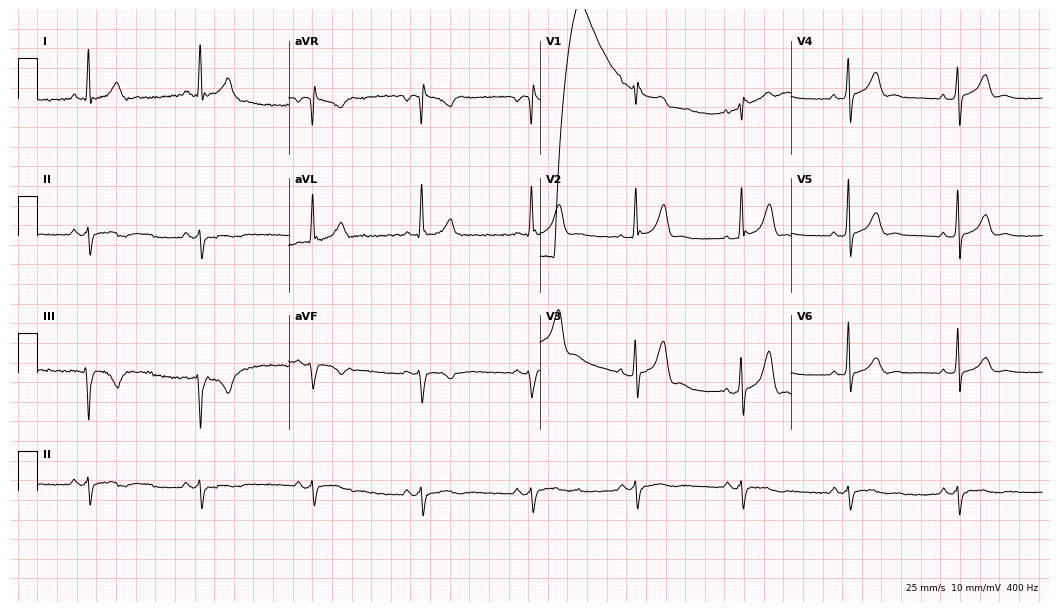
12-lead ECG from a male patient, 63 years old. Screened for six findings — first-degree AV block, right bundle branch block, left bundle branch block, sinus bradycardia, atrial fibrillation, sinus tachycardia — none is recorded. Findings outside these six are not listed.